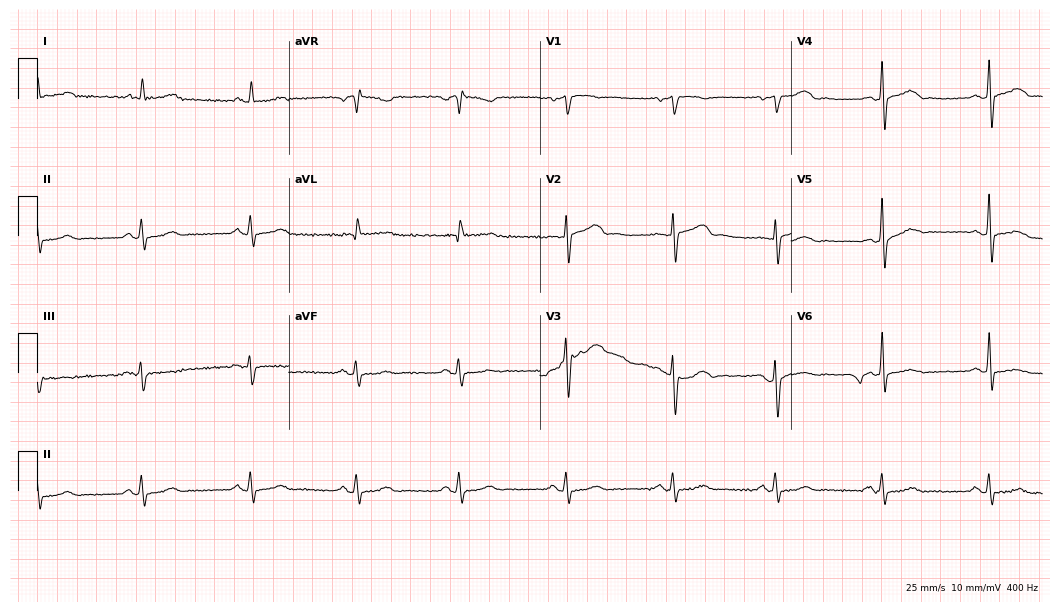
12-lead ECG (10.2-second recording at 400 Hz) from a 74-year-old female. Labelled as a normal ECG.